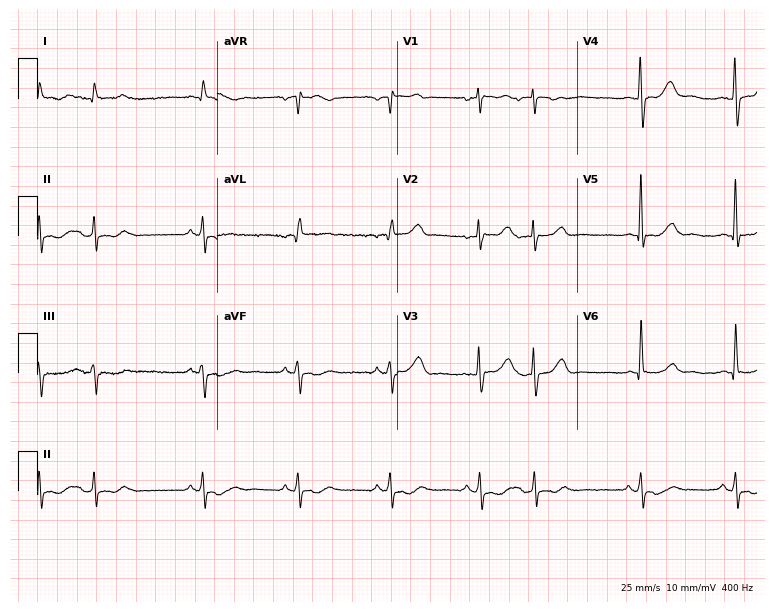
Resting 12-lead electrocardiogram. Patient: an 80-year-old man. None of these six findings is recorded: first-degree AV block, right bundle branch block (RBBB), left bundle branch block (LBBB), sinus bradycardia, atrial fibrillation (AF), sinus tachycardia. Only these six findings were labelled.